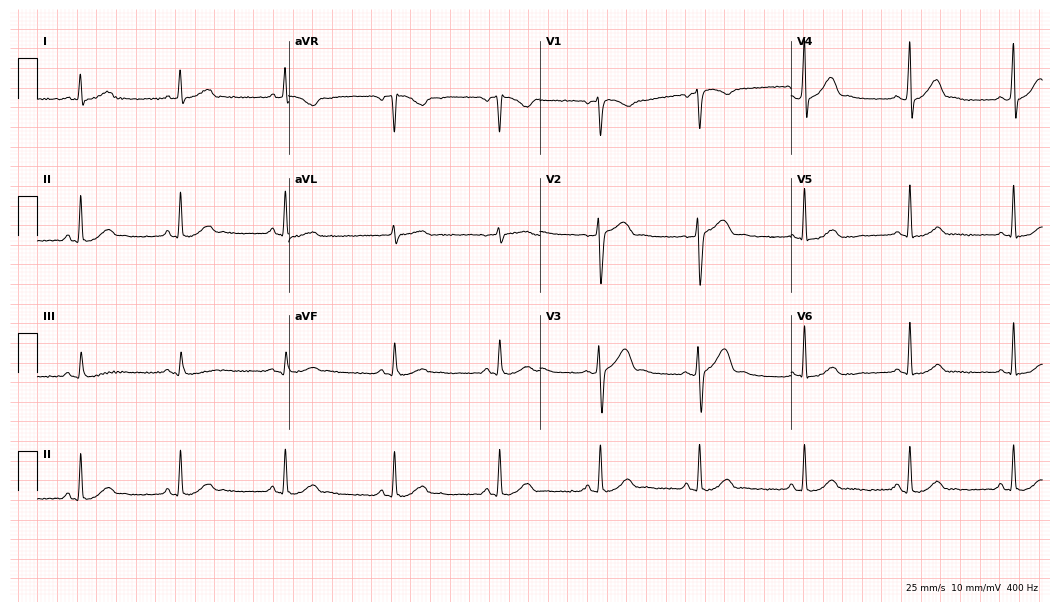
12-lead ECG (10.2-second recording at 400 Hz) from a male, 37 years old. Labelled as a normal ECG.